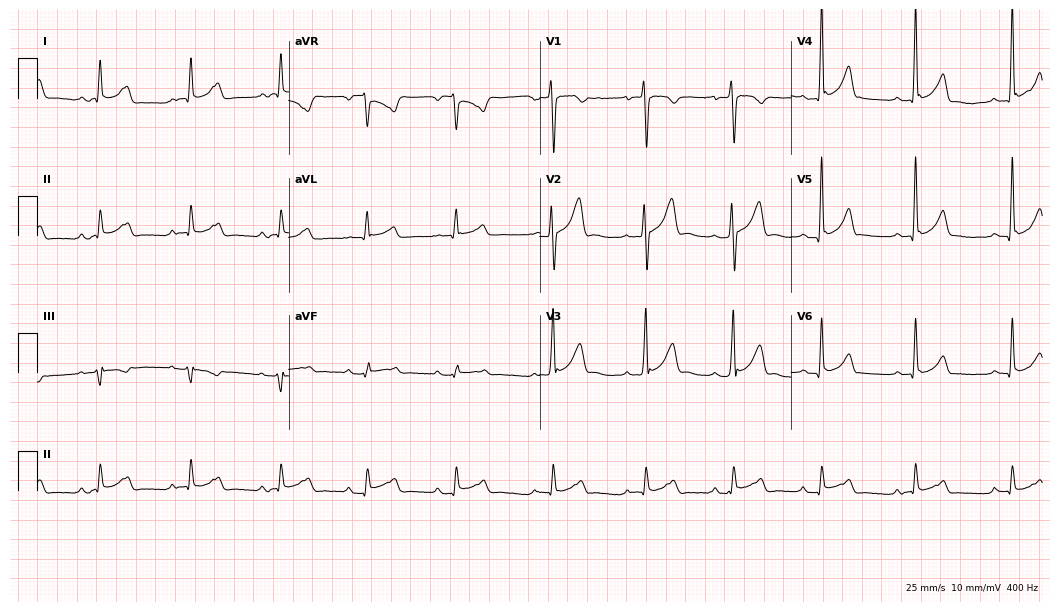
ECG — a male, 27 years old. Screened for six findings — first-degree AV block, right bundle branch block, left bundle branch block, sinus bradycardia, atrial fibrillation, sinus tachycardia — none is recorded.